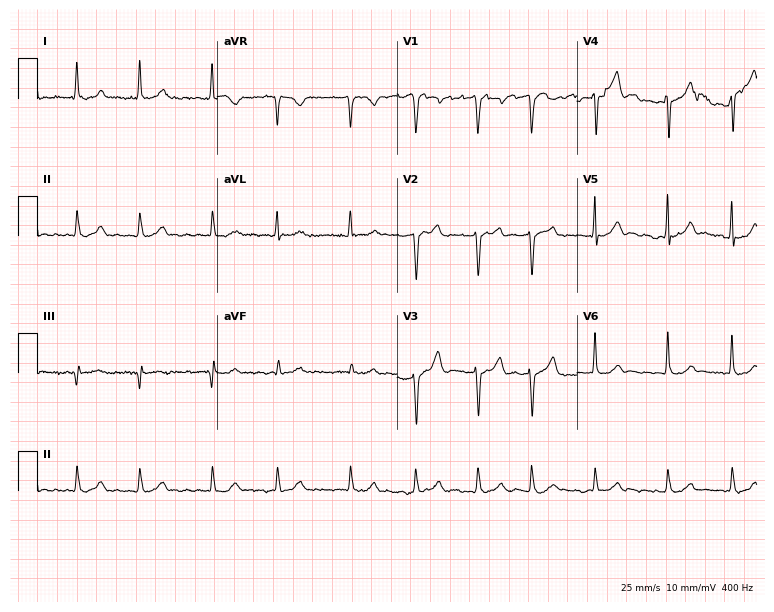
12-lead ECG from a 69-year-old male patient (7.3-second recording at 400 Hz). Shows atrial fibrillation (AF).